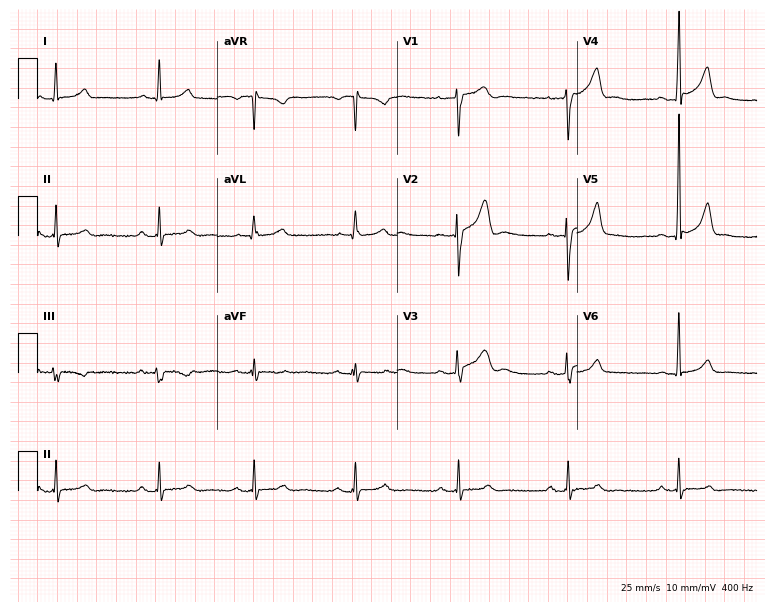
ECG — a male patient, 23 years old. Labelled as a normal ECG.